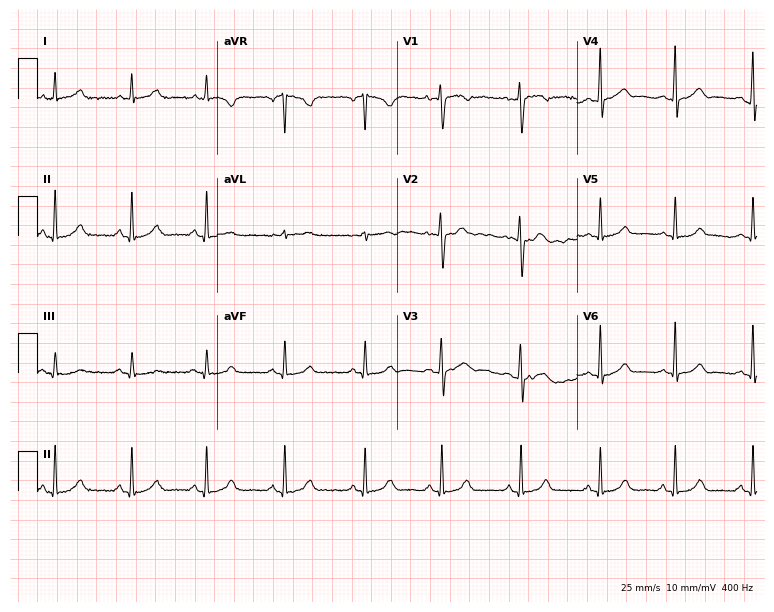
12-lead ECG from a female, 32 years old (7.3-second recording at 400 Hz). Recorded interpretation: within normal limits.